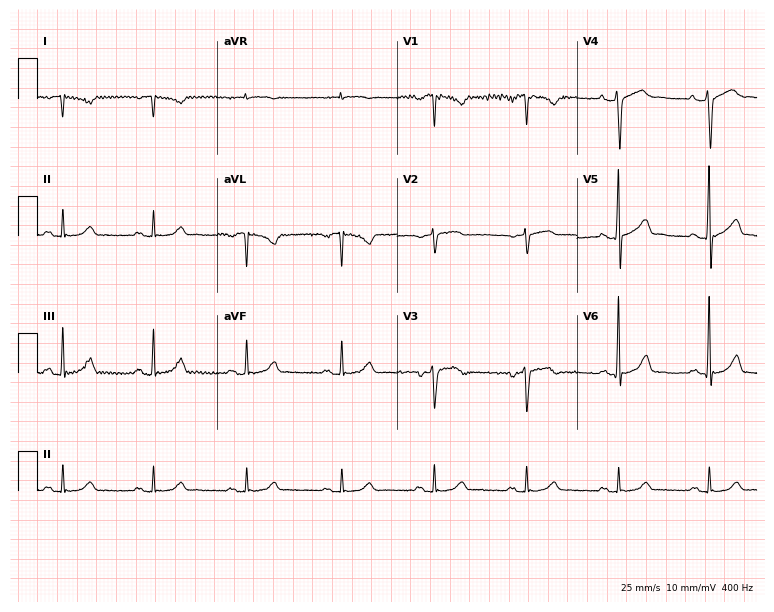
Standard 12-lead ECG recorded from a 59-year-old male patient (7.3-second recording at 400 Hz). None of these six findings is recorded: first-degree AV block, right bundle branch block, left bundle branch block, sinus bradycardia, atrial fibrillation, sinus tachycardia.